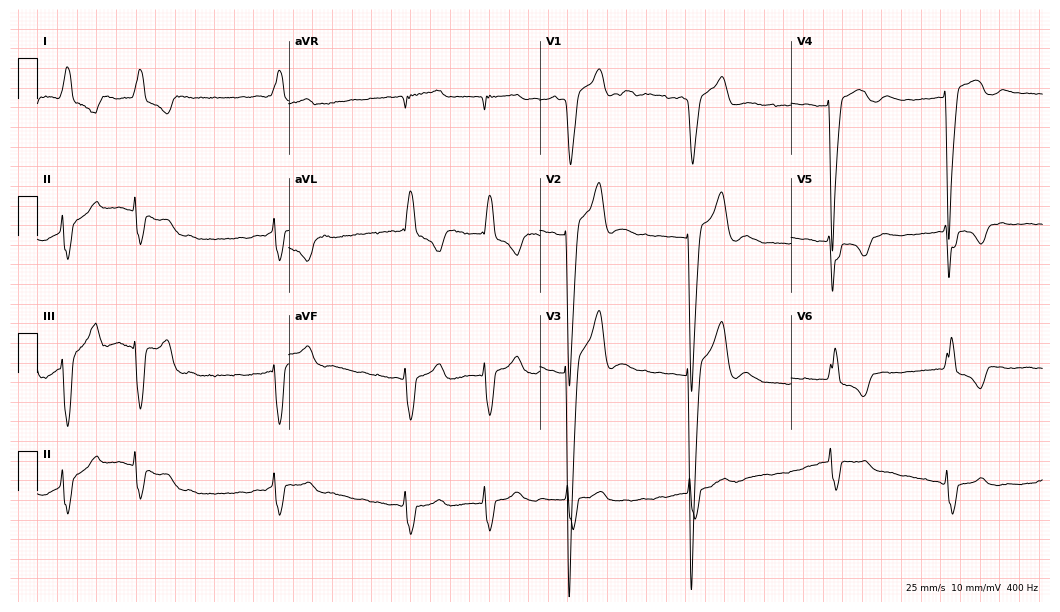
12-lead ECG (10.2-second recording at 400 Hz) from a woman, 76 years old. Findings include left bundle branch block, atrial fibrillation.